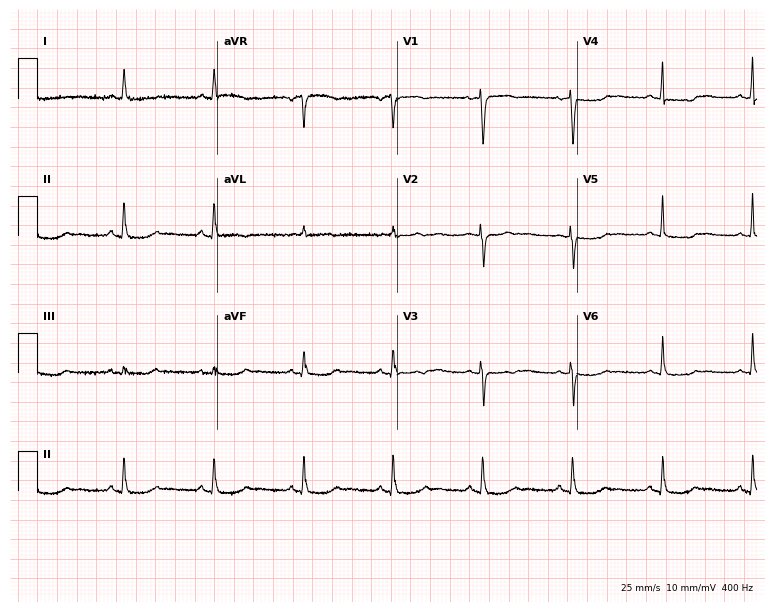
12-lead ECG from a 58-year-old woman. No first-degree AV block, right bundle branch block, left bundle branch block, sinus bradycardia, atrial fibrillation or sinus tachycardia recorded for this tracing.